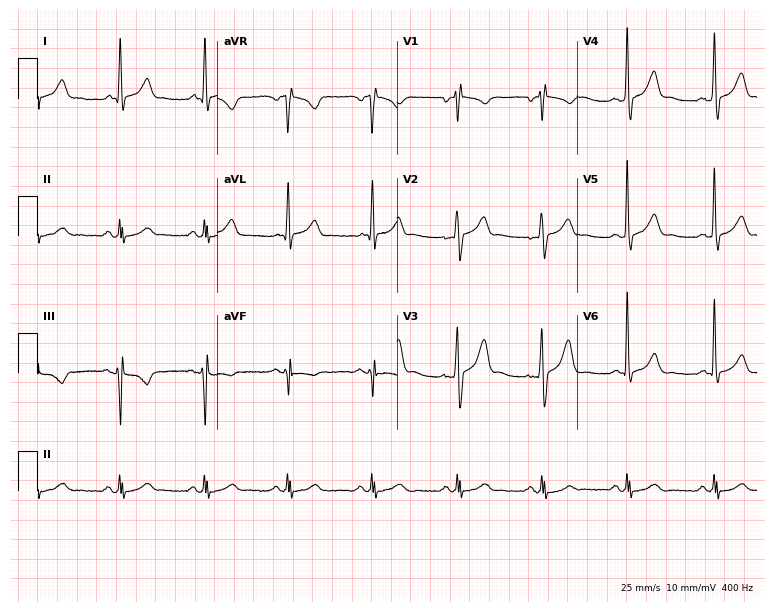
12-lead ECG from a 58-year-old man (7.3-second recording at 400 Hz). No first-degree AV block, right bundle branch block (RBBB), left bundle branch block (LBBB), sinus bradycardia, atrial fibrillation (AF) or sinus tachycardia recorded for this tracing.